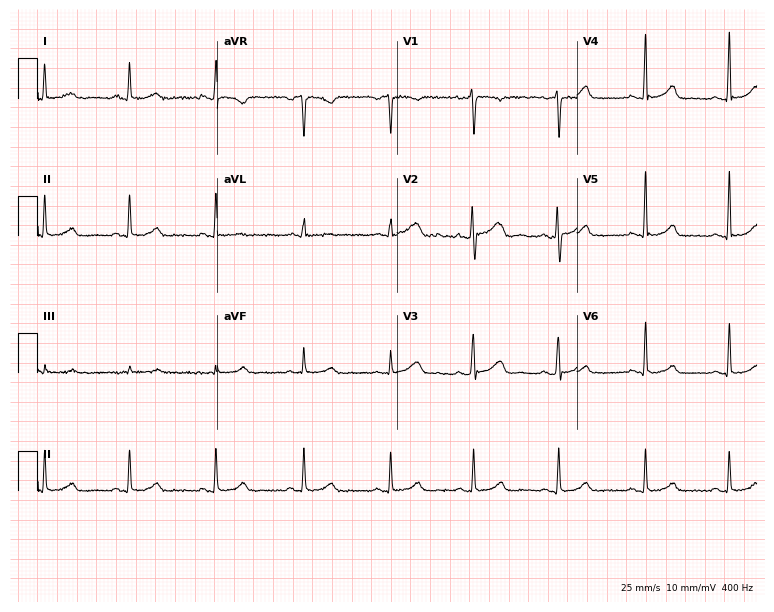
Standard 12-lead ECG recorded from a 32-year-old woman. Read as a normal ECG.